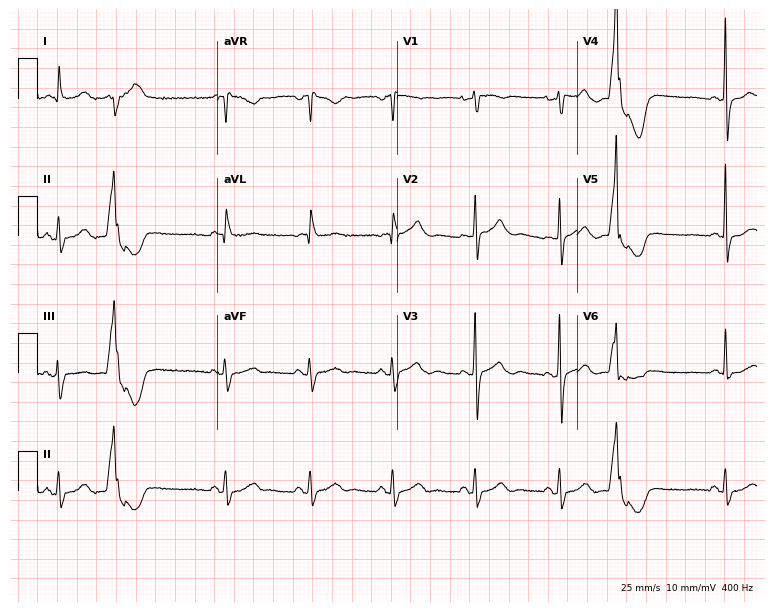
ECG (7.3-second recording at 400 Hz) — an 80-year-old woman. Screened for six findings — first-degree AV block, right bundle branch block, left bundle branch block, sinus bradycardia, atrial fibrillation, sinus tachycardia — none is recorded.